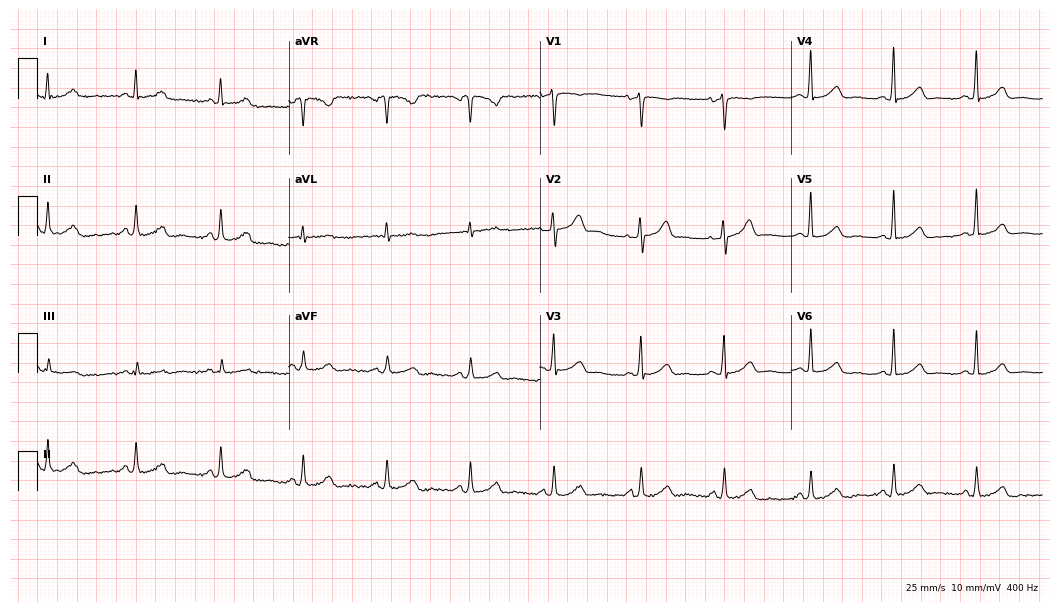
Resting 12-lead electrocardiogram. Patient: a woman, 52 years old. Read as a normal ECG.